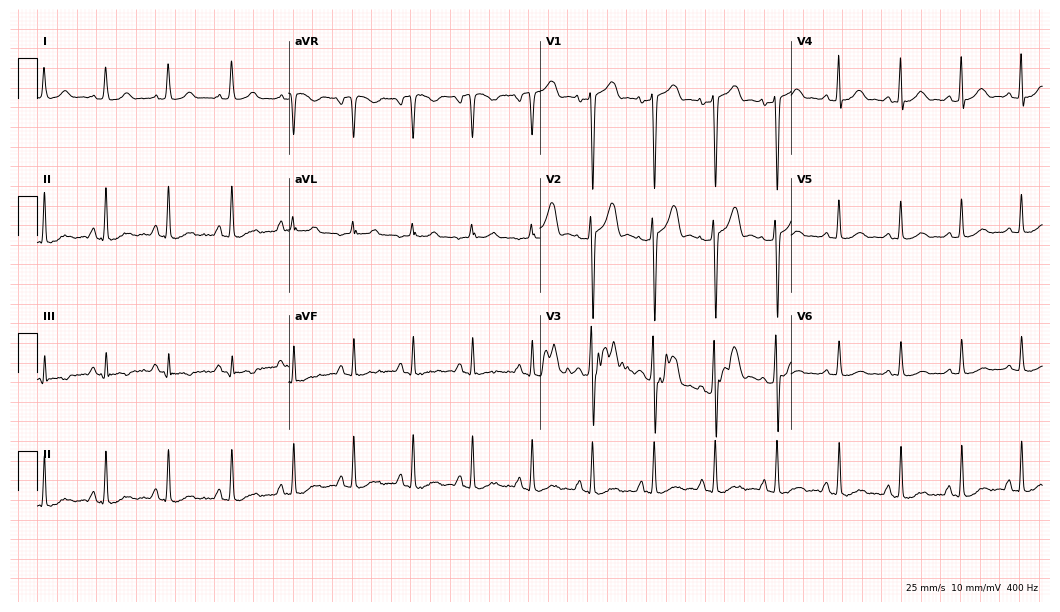
12-lead ECG from a woman, 25 years old. No first-degree AV block, right bundle branch block, left bundle branch block, sinus bradycardia, atrial fibrillation or sinus tachycardia recorded for this tracing.